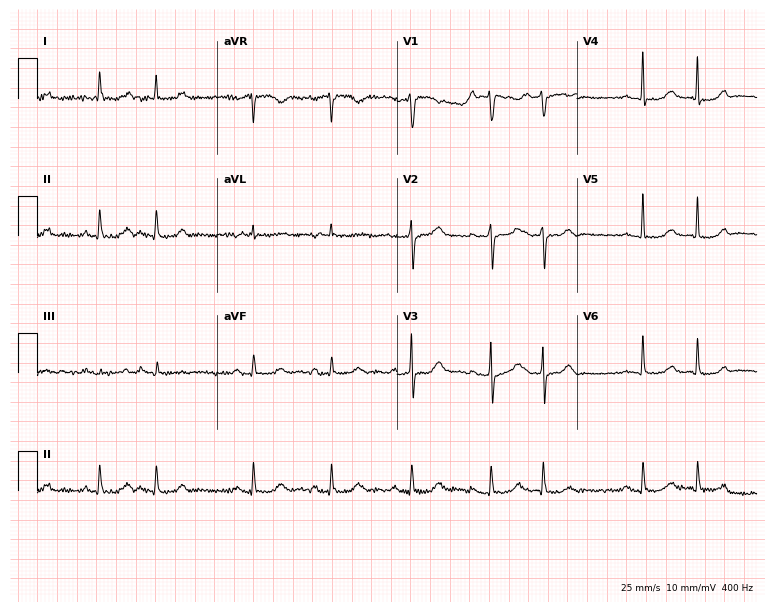
Standard 12-lead ECG recorded from a 78-year-old female patient (7.3-second recording at 400 Hz). None of these six findings is recorded: first-degree AV block, right bundle branch block, left bundle branch block, sinus bradycardia, atrial fibrillation, sinus tachycardia.